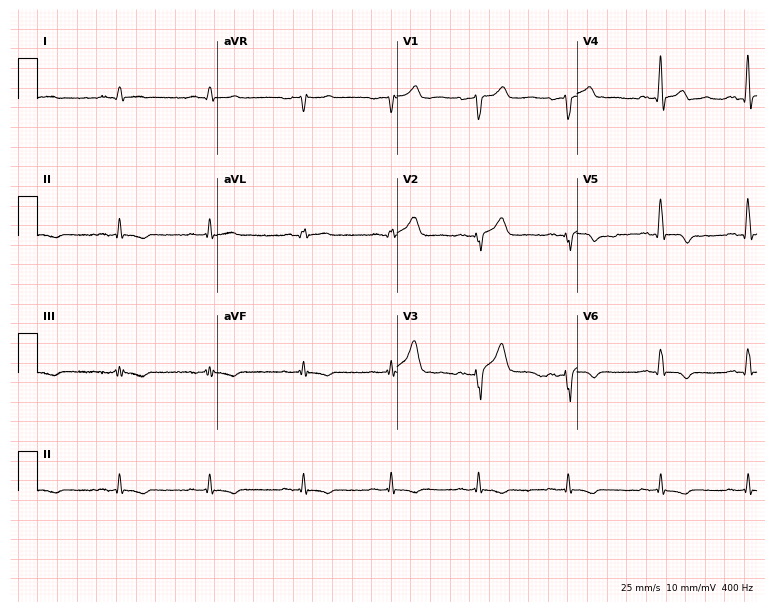
Electrocardiogram (7.3-second recording at 400 Hz), a male patient, 76 years old. Of the six screened findings (first-degree AV block, right bundle branch block, left bundle branch block, sinus bradycardia, atrial fibrillation, sinus tachycardia), none is recorded.